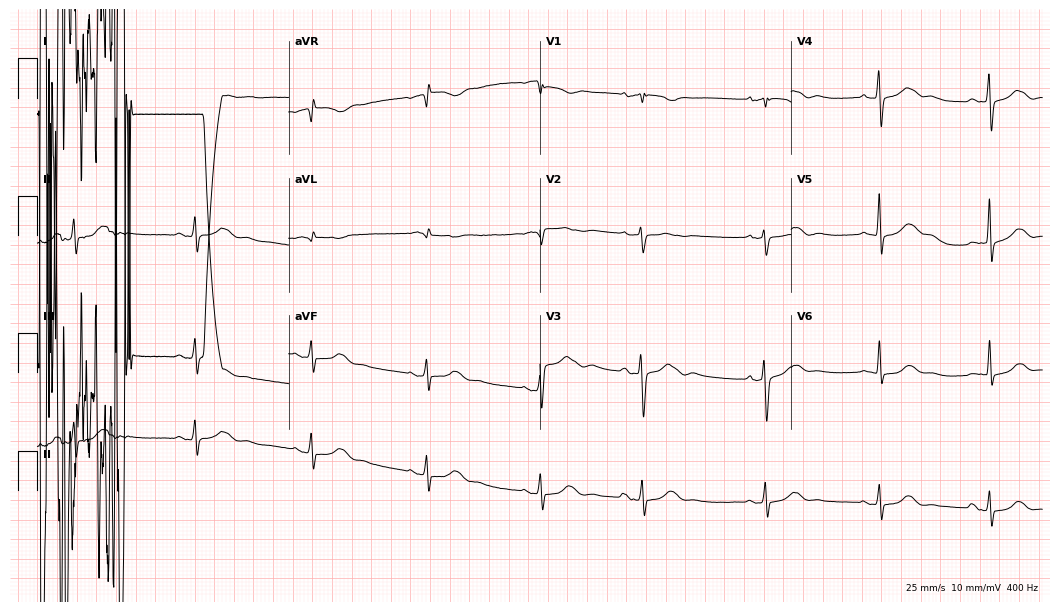
12-lead ECG (10.2-second recording at 400 Hz) from an 80-year-old male patient. Screened for six findings — first-degree AV block, right bundle branch block, left bundle branch block, sinus bradycardia, atrial fibrillation, sinus tachycardia — none is recorded. Findings outside these six are not listed.